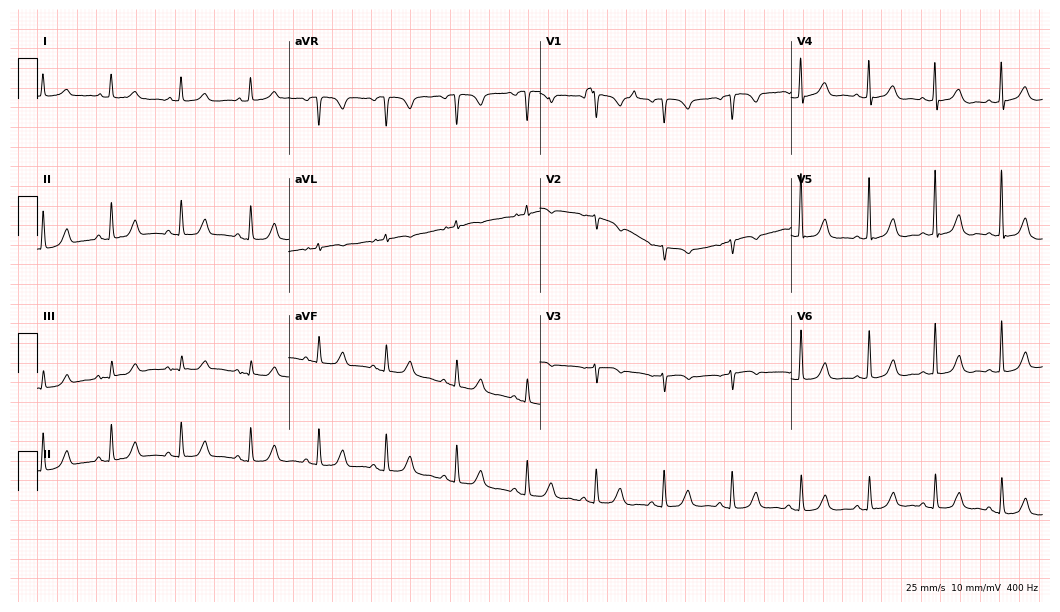
Standard 12-lead ECG recorded from a woman, 79 years old. Read as a normal ECG.